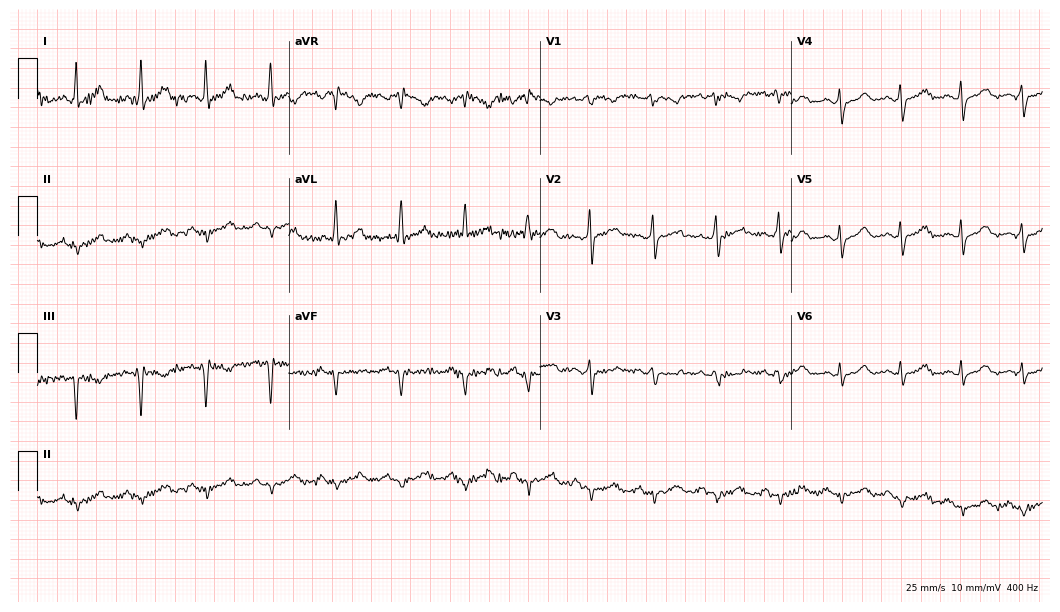
ECG — a male, 51 years old. Screened for six findings — first-degree AV block, right bundle branch block, left bundle branch block, sinus bradycardia, atrial fibrillation, sinus tachycardia — none is recorded.